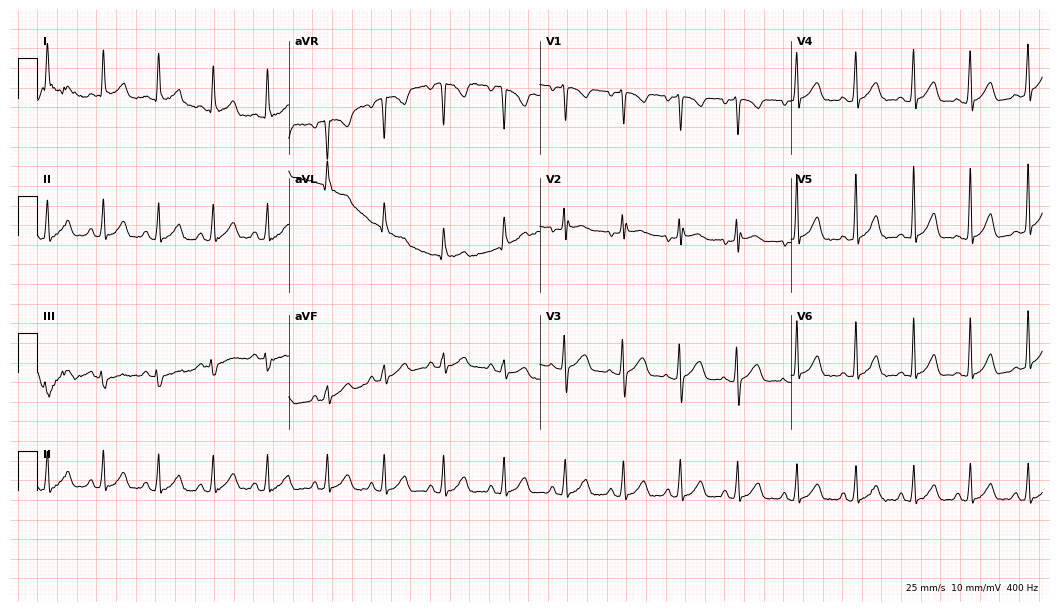
12-lead ECG from a woman, 25 years old (10.2-second recording at 400 Hz). Recorded interpretation: within normal limits.